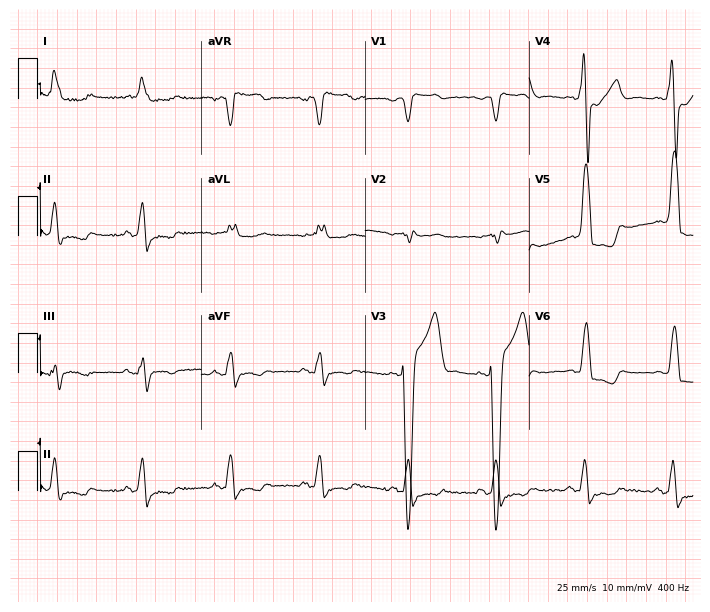
Standard 12-lead ECG recorded from a female, 78 years old (6.7-second recording at 400 Hz). None of these six findings is recorded: first-degree AV block, right bundle branch block, left bundle branch block, sinus bradycardia, atrial fibrillation, sinus tachycardia.